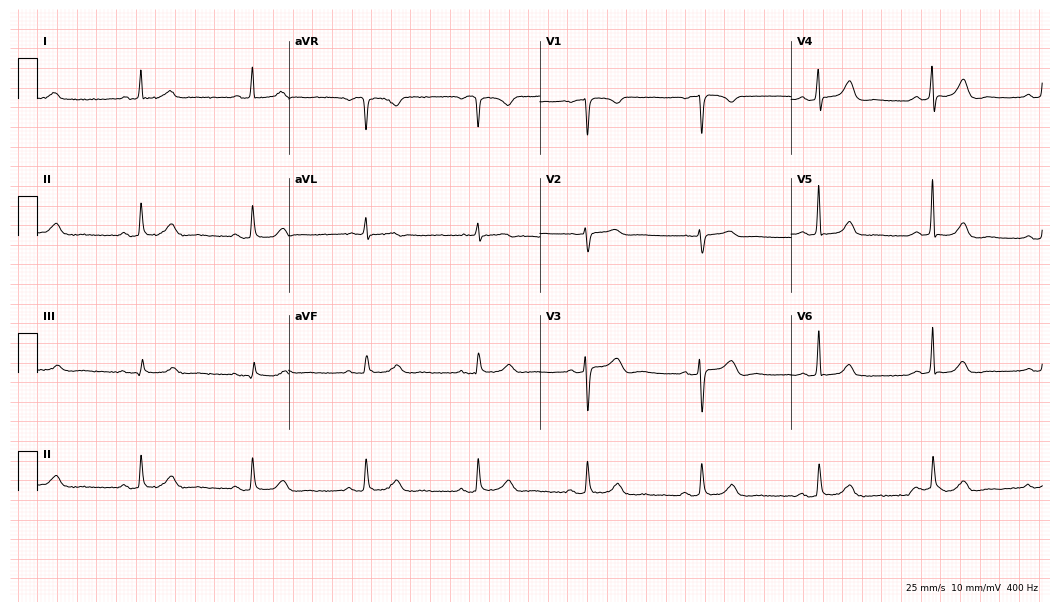
Electrocardiogram (10.2-second recording at 400 Hz), a female, 70 years old. Overall reading on record: normal ECG.